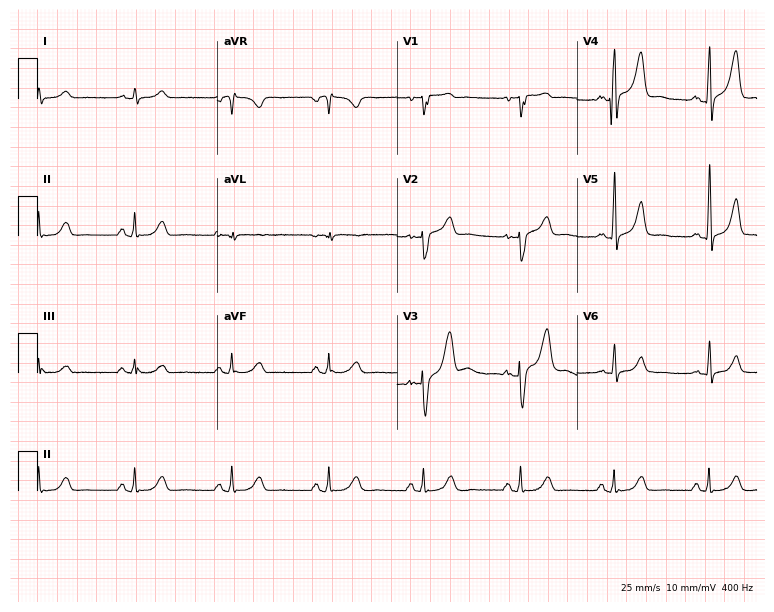
12-lead ECG from a man, 61 years old. Labelled as a normal ECG.